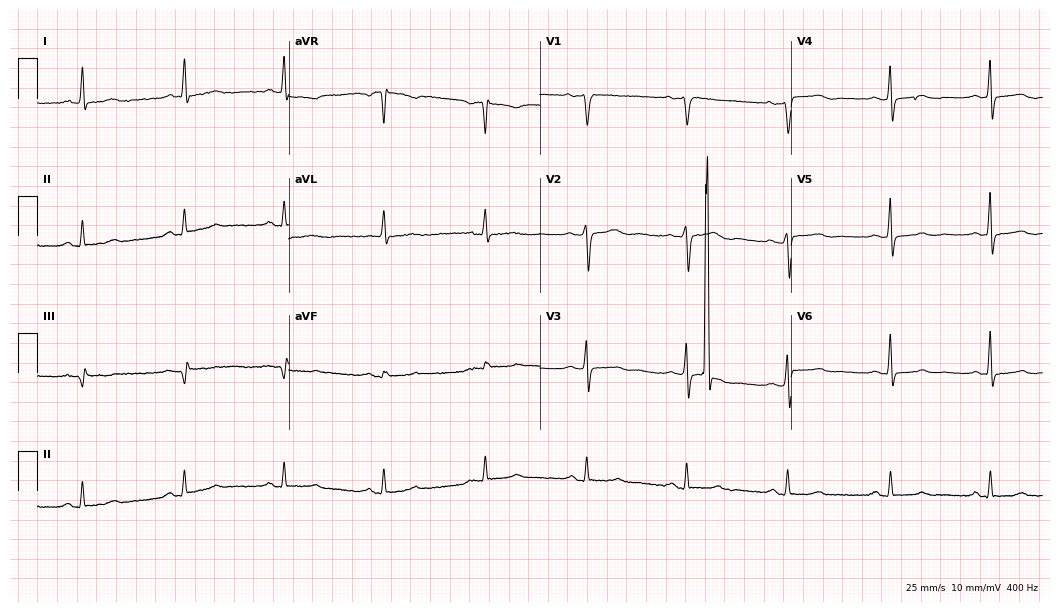
12-lead ECG from a 51-year-old female (10.2-second recording at 400 Hz). No first-degree AV block, right bundle branch block (RBBB), left bundle branch block (LBBB), sinus bradycardia, atrial fibrillation (AF) or sinus tachycardia recorded for this tracing.